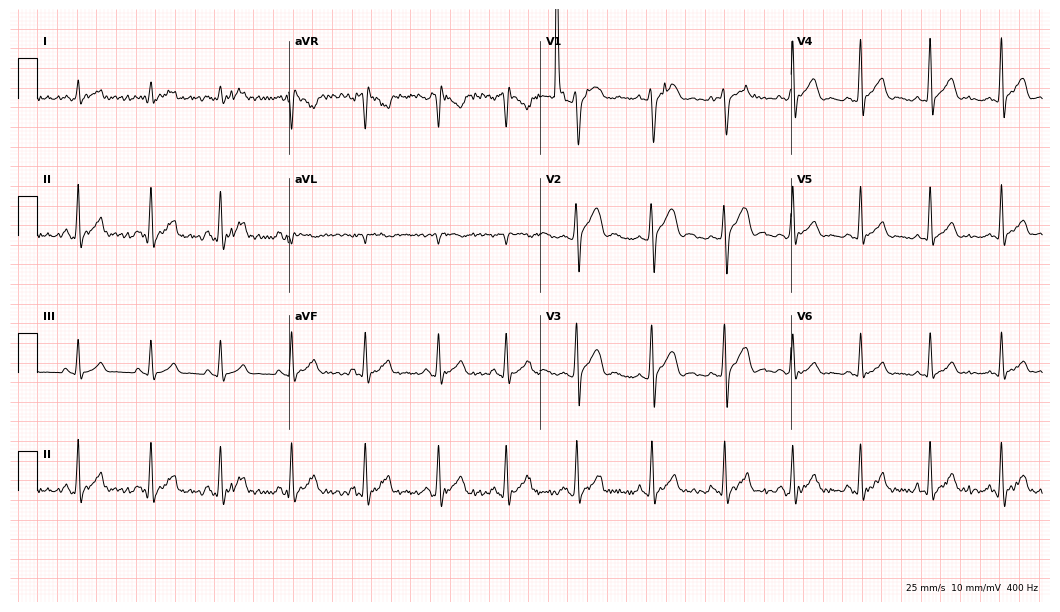
12-lead ECG from a 19-year-old man. Screened for six findings — first-degree AV block, right bundle branch block, left bundle branch block, sinus bradycardia, atrial fibrillation, sinus tachycardia — none is recorded.